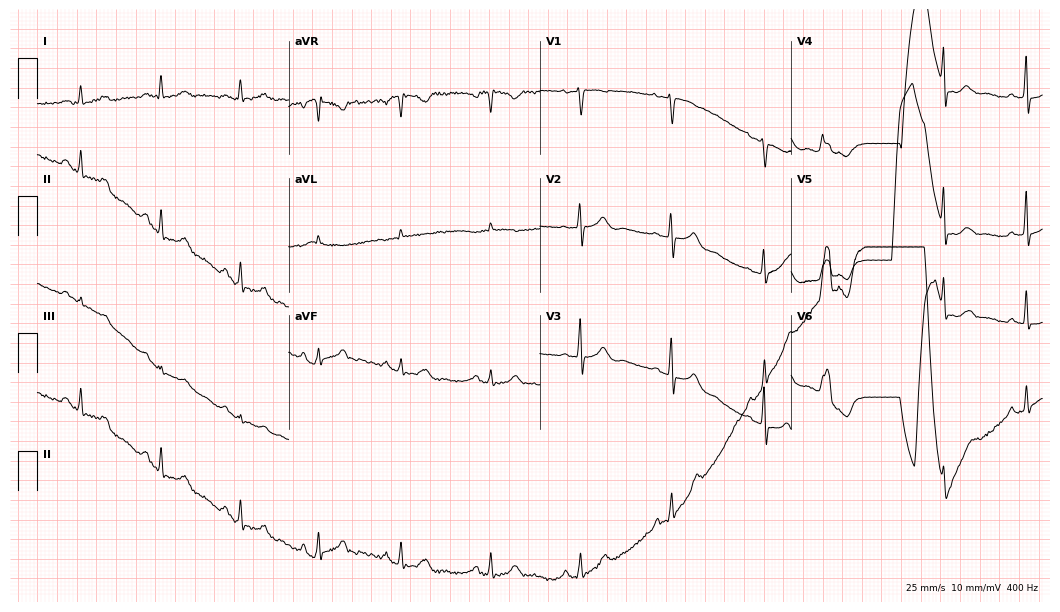
12-lead ECG (10.2-second recording at 400 Hz) from a 67-year-old woman. Labelled as a normal ECG.